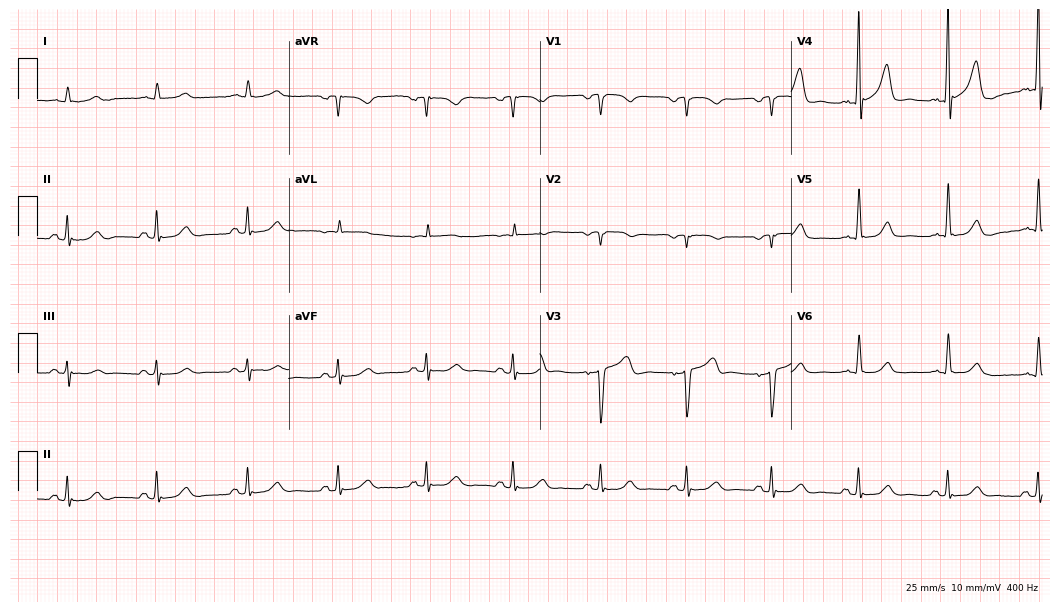
Standard 12-lead ECG recorded from a man, 71 years old. None of these six findings is recorded: first-degree AV block, right bundle branch block, left bundle branch block, sinus bradycardia, atrial fibrillation, sinus tachycardia.